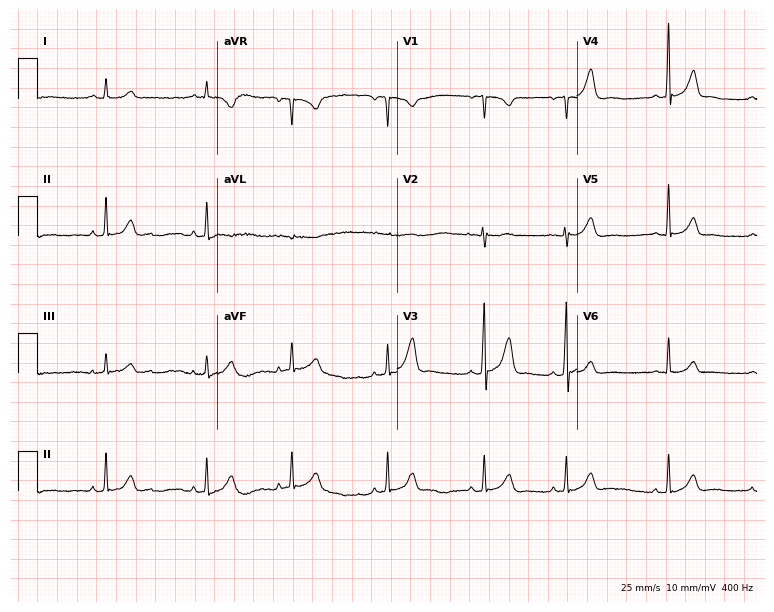
ECG (7.3-second recording at 400 Hz) — a female patient, 20 years old. Labelled as a normal ECG.